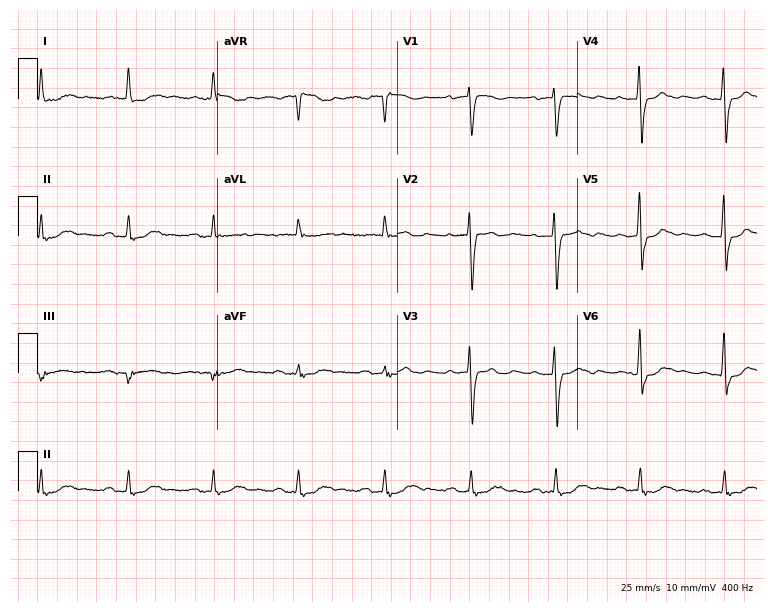
Electrocardiogram (7.3-second recording at 400 Hz), an 83-year-old woman. Of the six screened findings (first-degree AV block, right bundle branch block, left bundle branch block, sinus bradycardia, atrial fibrillation, sinus tachycardia), none is recorded. Findings outside these six are not listed.